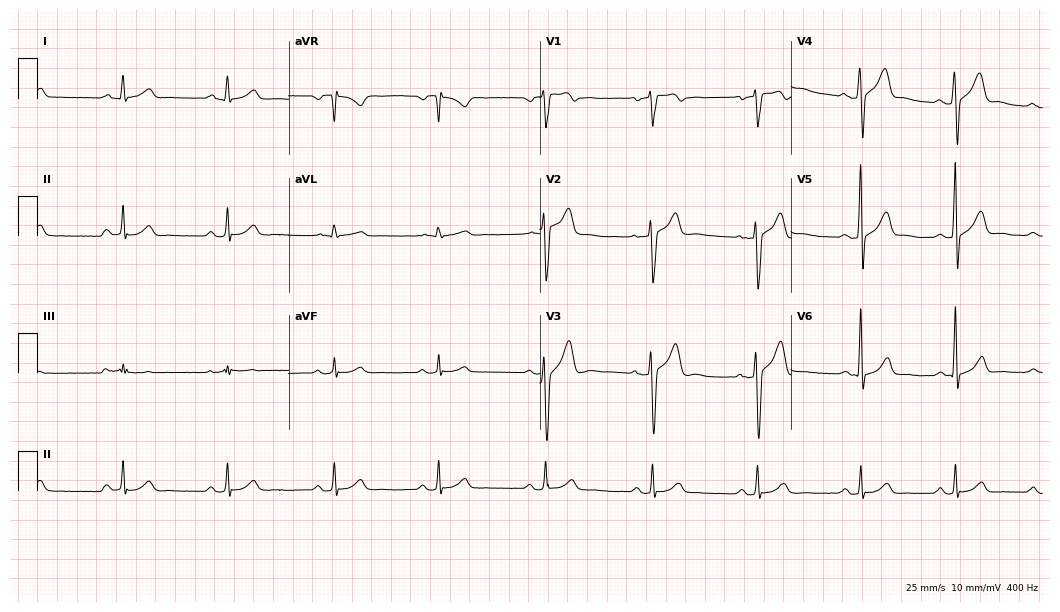
Electrocardiogram (10.2-second recording at 400 Hz), a 22-year-old man. Overall reading on record: normal ECG.